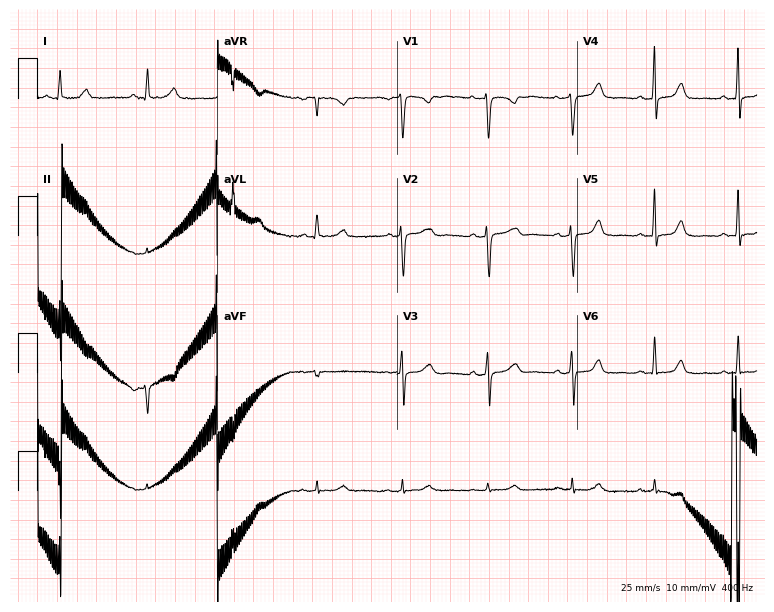
Electrocardiogram (7.3-second recording at 400 Hz), a female, 43 years old. Overall reading on record: normal ECG.